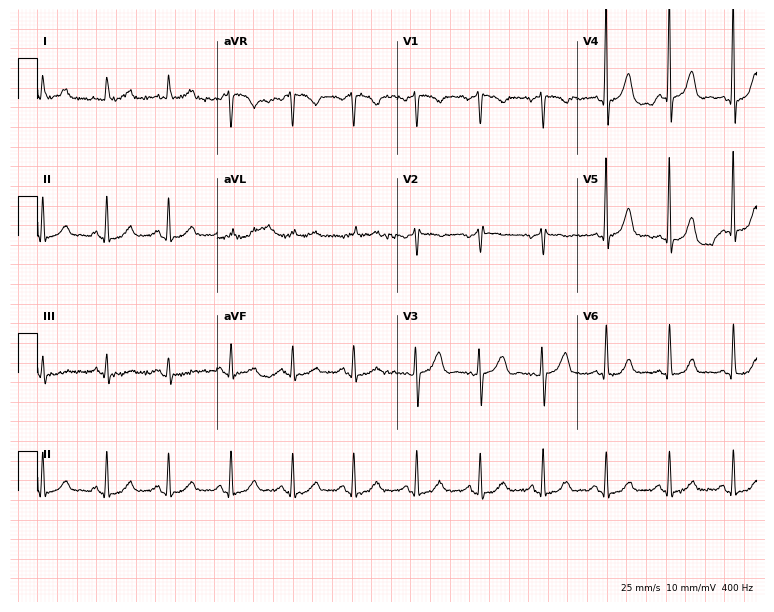
12-lead ECG from a woman, 39 years old. Screened for six findings — first-degree AV block, right bundle branch block, left bundle branch block, sinus bradycardia, atrial fibrillation, sinus tachycardia — none is recorded. Findings outside these six are not listed.